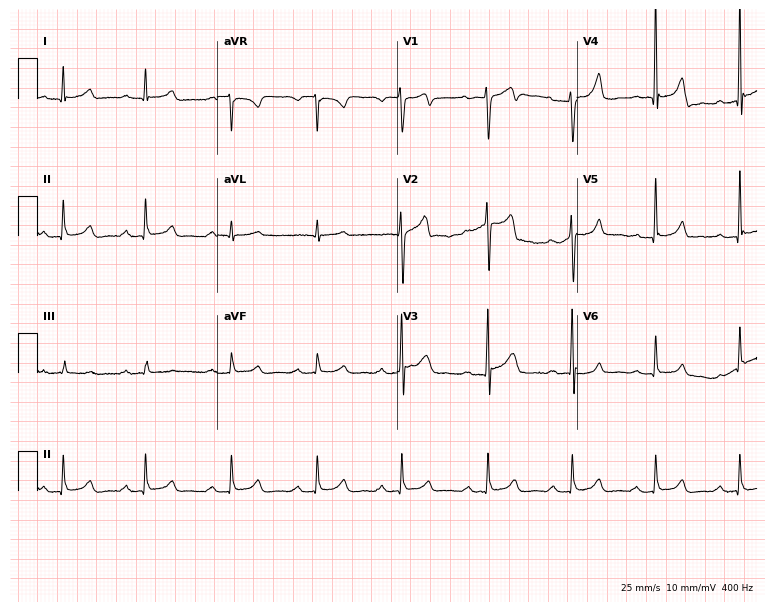
ECG (7.3-second recording at 400 Hz) — a male patient, 48 years old. Screened for six findings — first-degree AV block, right bundle branch block (RBBB), left bundle branch block (LBBB), sinus bradycardia, atrial fibrillation (AF), sinus tachycardia — none is recorded.